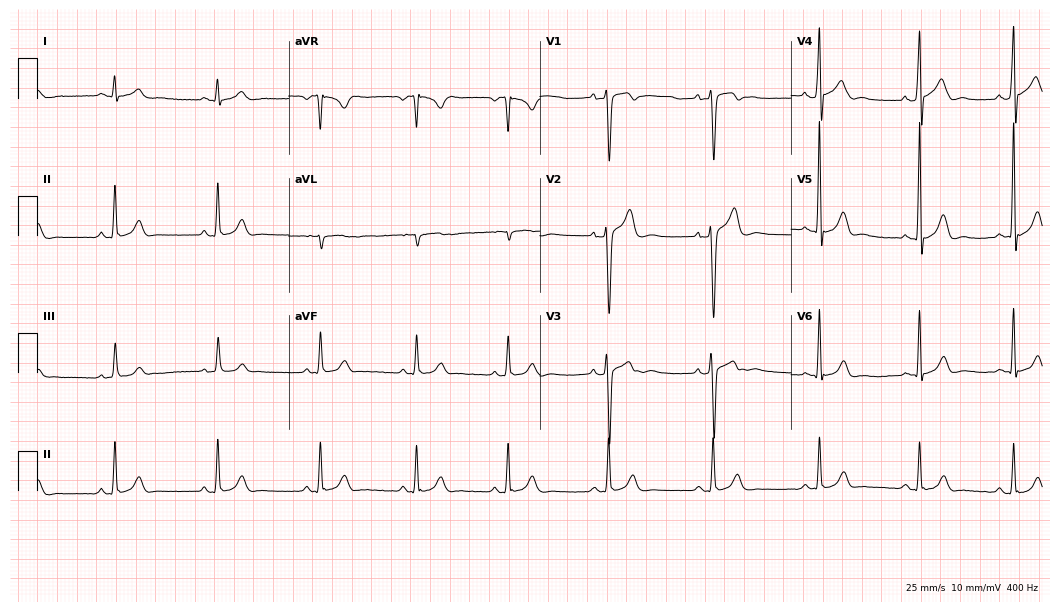
Standard 12-lead ECG recorded from a 23-year-old man (10.2-second recording at 400 Hz). Read as a normal ECG.